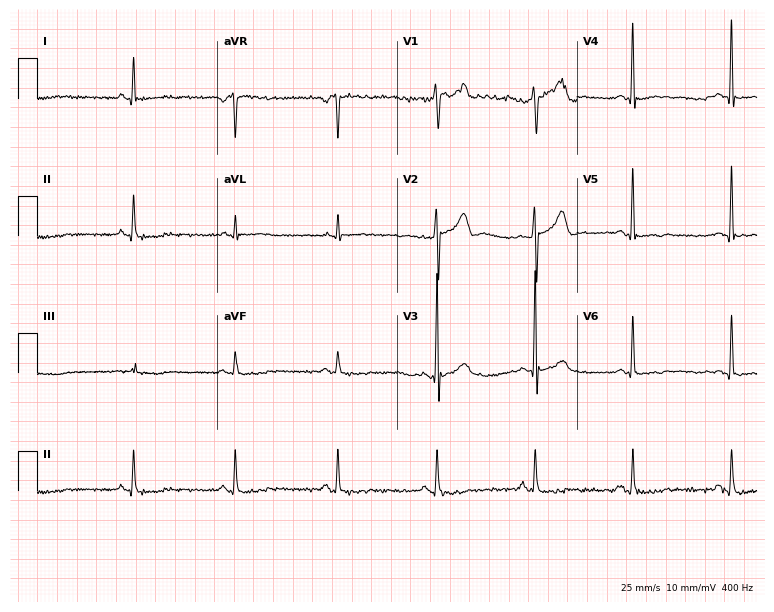
ECG — a male patient, 42 years old. Labelled as a normal ECG.